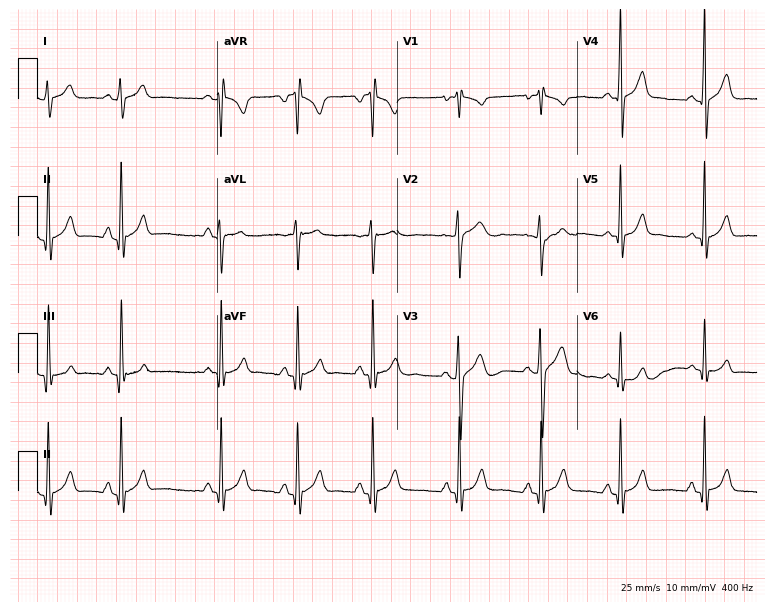
ECG — an 18-year-old male. Screened for six findings — first-degree AV block, right bundle branch block (RBBB), left bundle branch block (LBBB), sinus bradycardia, atrial fibrillation (AF), sinus tachycardia — none is recorded.